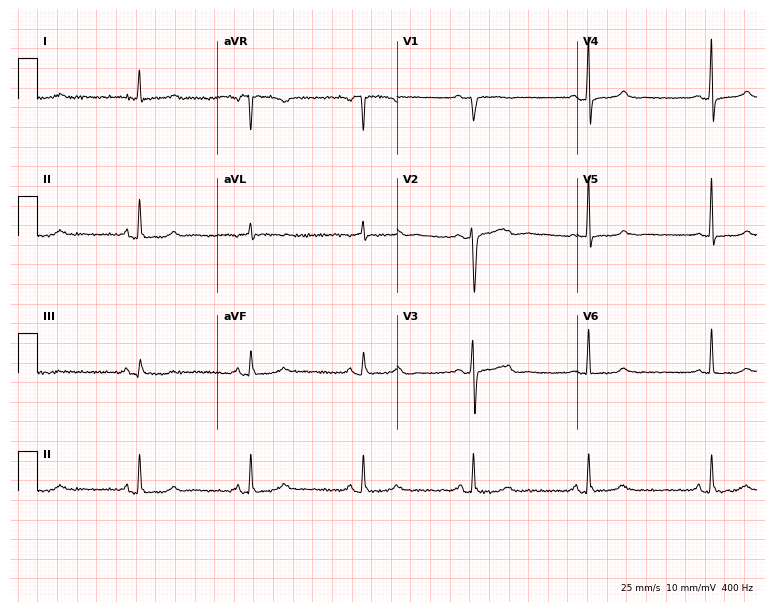
Electrocardiogram (7.3-second recording at 400 Hz), a female patient, 63 years old. Overall reading on record: normal ECG.